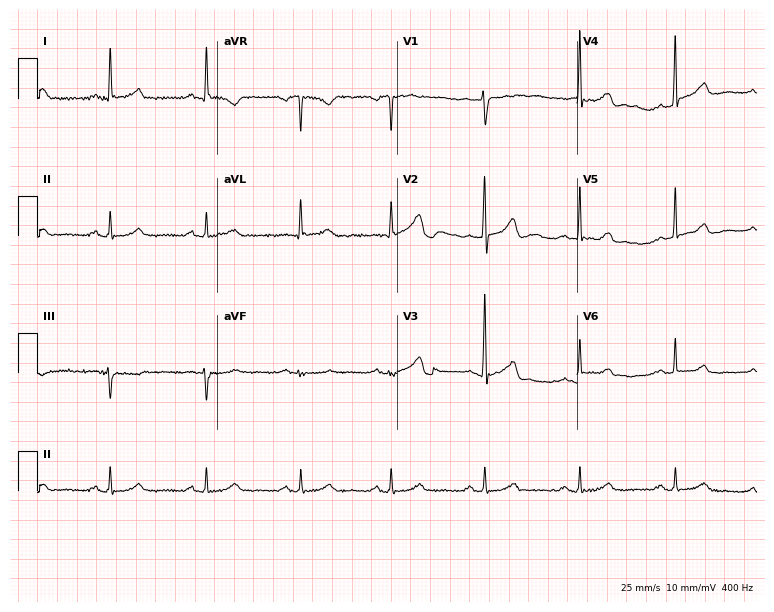
Electrocardiogram (7.3-second recording at 400 Hz), a female patient, 50 years old. Of the six screened findings (first-degree AV block, right bundle branch block (RBBB), left bundle branch block (LBBB), sinus bradycardia, atrial fibrillation (AF), sinus tachycardia), none is recorded.